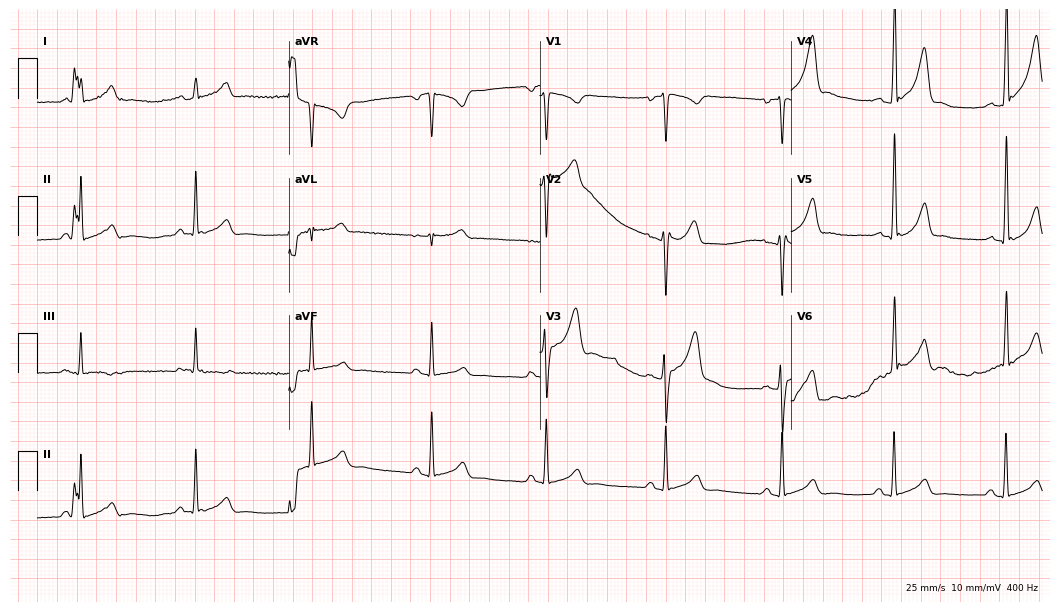
12-lead ECG (10.2-second recording at 400 Hz) from a male patient, 31 years old. Screened for six findings — first-degree AV block, right bundle branch block, left bundle branch block, sinus bradycardia, atrial fibrillation, sinus tachycardia — none is recorded.